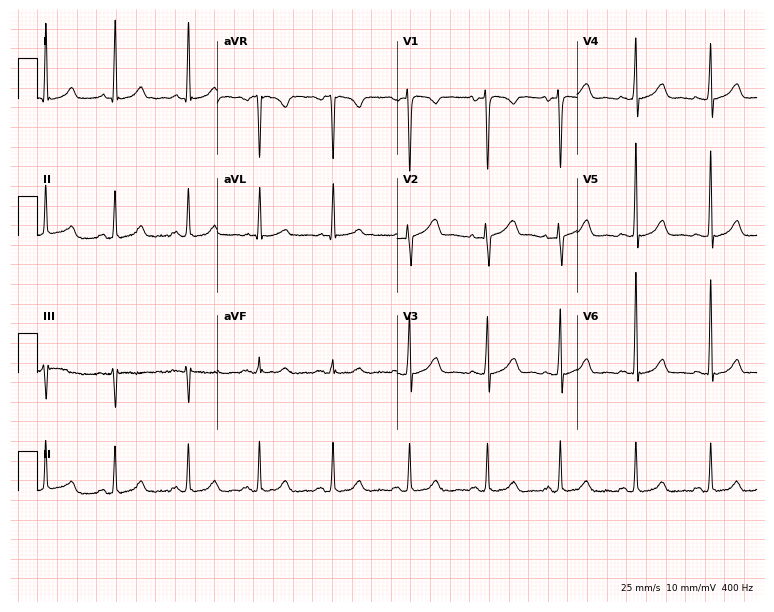
12-lead ECG from a woman, 29 years old. Screened for six findings — first-degree AV block, right bundle branch block, left bundle branch block, sinus bradycardia, atrial fibrillation, sinus tachycardia — none is recorded. Other findings, if any, are not listed.